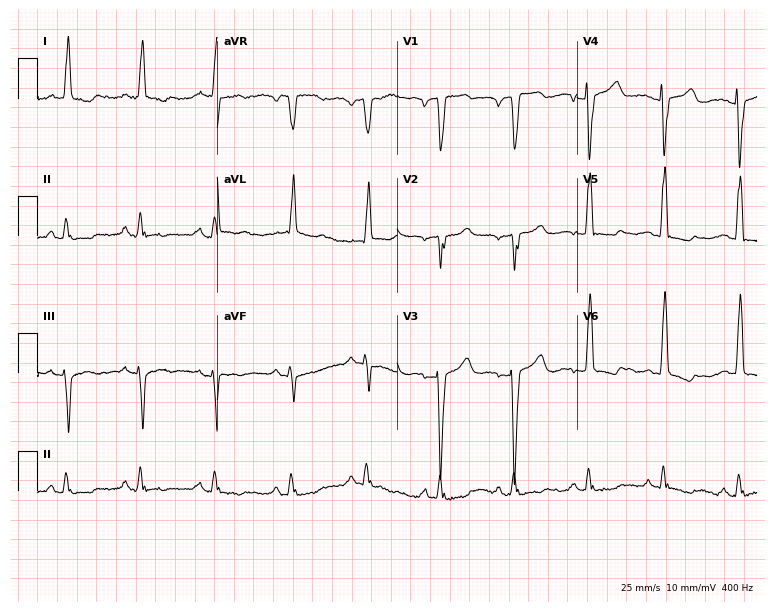
Electrocardiogram, a female patient, 45 years old. Of the six screened findings (first-degree AV block, right bundle branch block, left bundle branch block, sinus bradycardia, atrial fibrillation, sinus tachycardia), none is recorded.